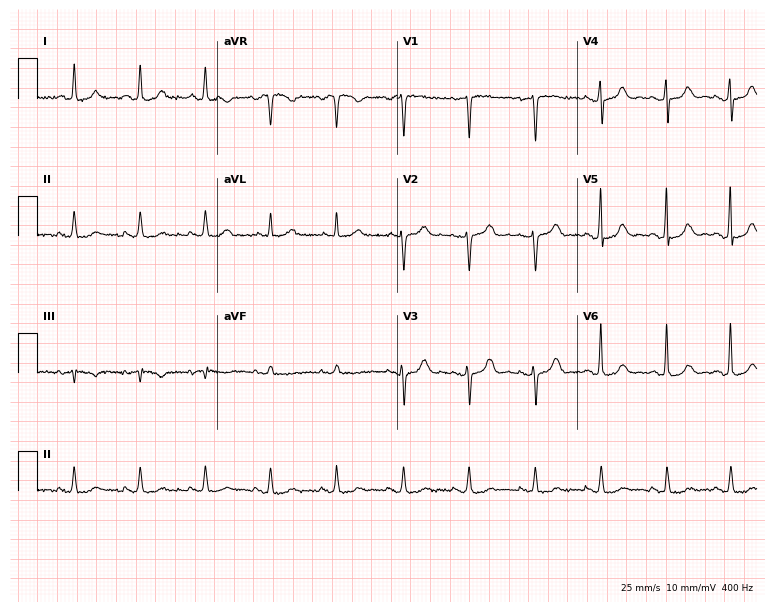
Electrocardiogram (7.3-second recording at 400 Hz), a 70-year-old woman. Overall reading on record: normal ECG.